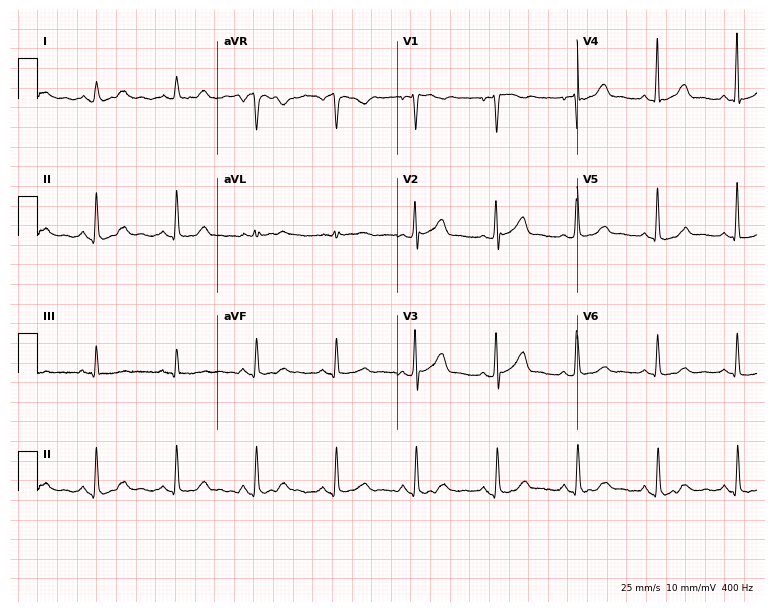
Electrocardiogram (7.3-second recording at 400 Hz), a male, 74 years old. Overall reading on record: normal ECG.